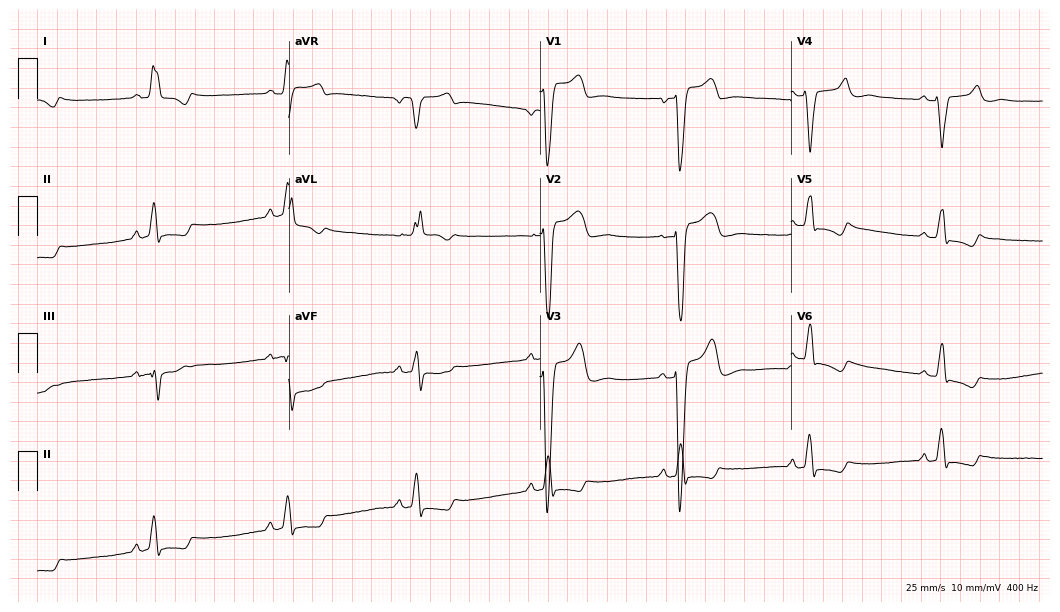
12-lead ECG from a 69-year-old female. No first-degree AV block, right bundle branch block, left bundle branch block, sinus bradycardia, atrial fibrillation or sinus tachycardia recorded for this tracing.